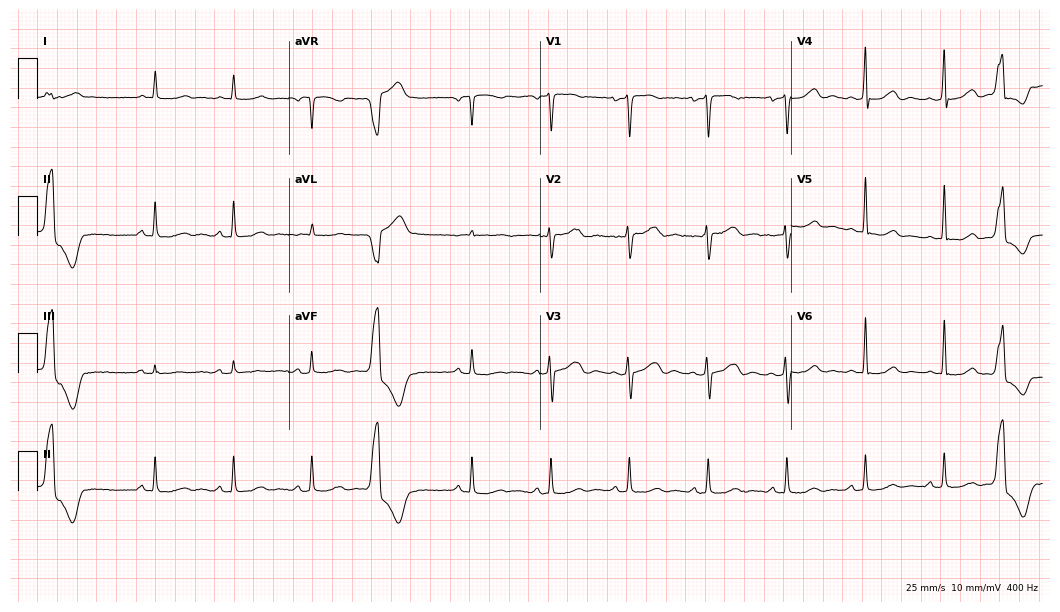
12-lead ECG from a 56-year-old female patient. Recorded interpretation: within normal limits.